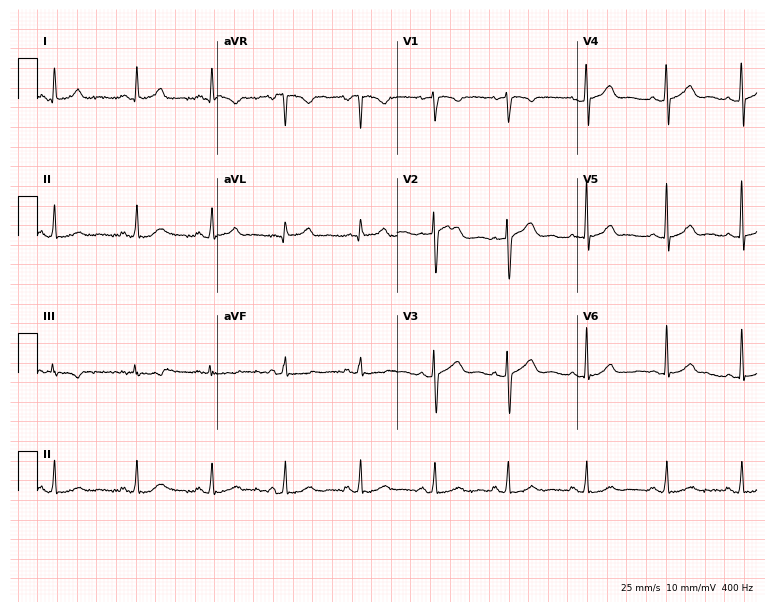
Resting 12-lead electrocardiogram (7.3-second recording at 400 Hz). Patient: a female, 25 years old. None of these six findings is recorded: first-degree AV block, right bundle branch block, left bundle branch block, sinus bradycardia, atrial fibrillation, sinus tachycardia.